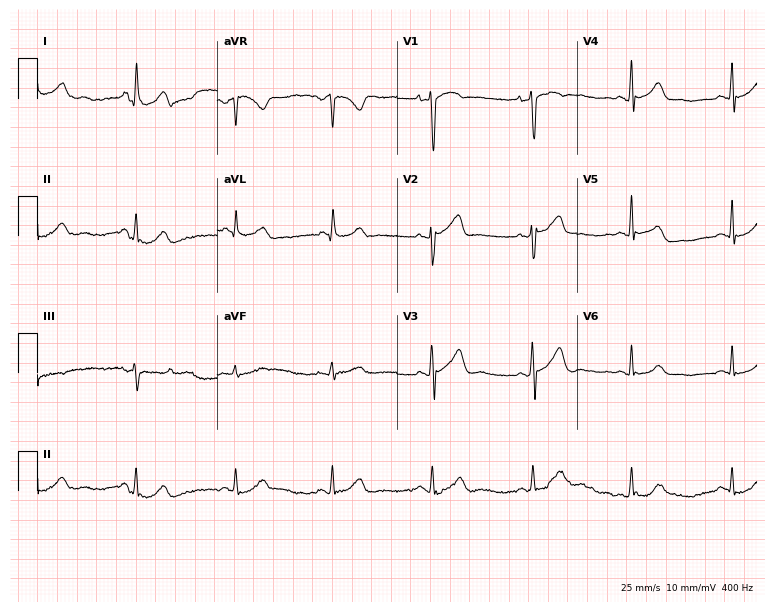
12-lead ECG (7.3-second recording at 400 Hz) from a 32-year-old man. Labelled as a normal ECG.